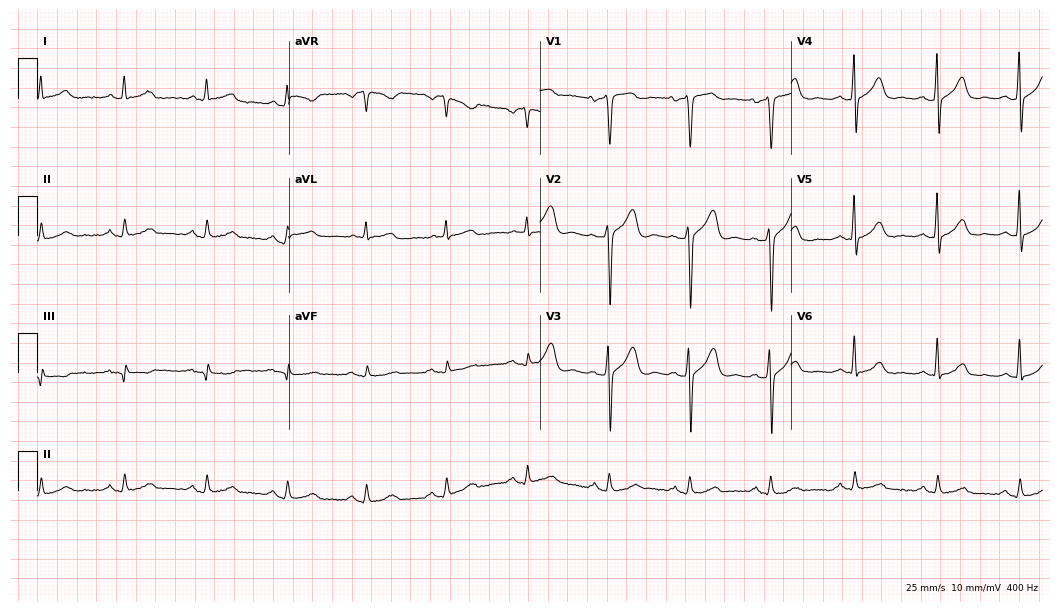
Standard 12-lead ECG recorded from a 54-year-old male patient (10.2-second recording at 400 Hz). Read as a normal ECG.